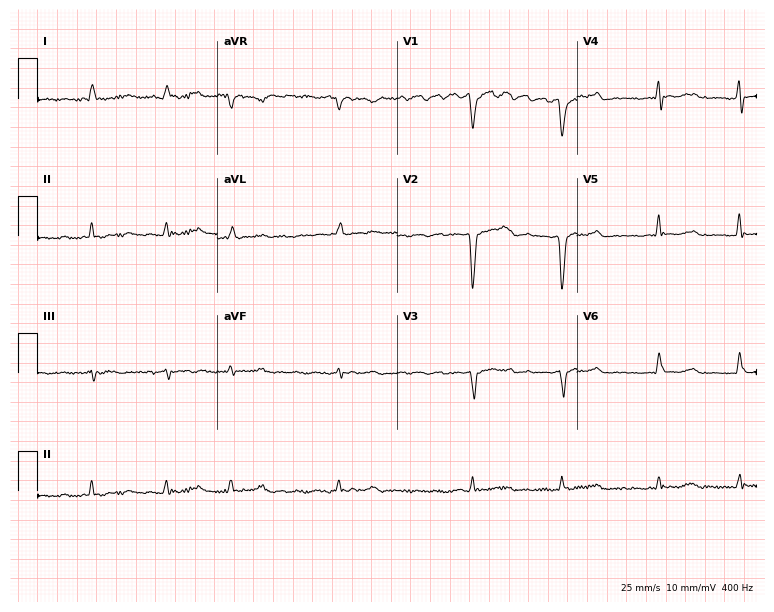
Standard 12-lead ECG recorded from a 62-year-old man (7.3-second recording at 400 Hz). None of these six findings is recorded: first-degree AV block, right bundle branch block (RBBB), left bundle branch block (LBBB), sinus bradycardia, atrial fibrillation (AF), sinus tachycardia.